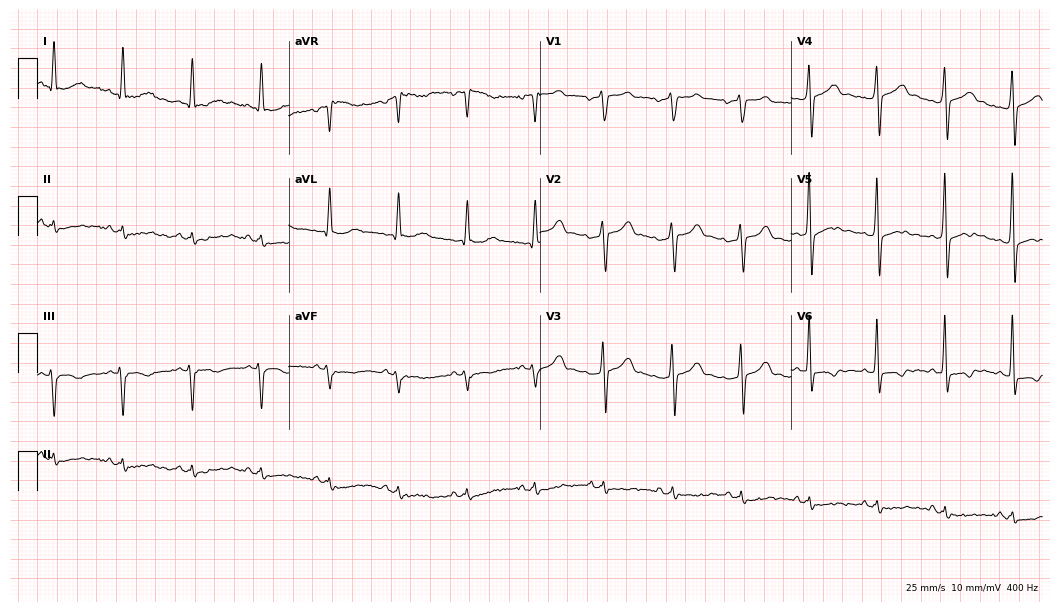
ECG (10.2-second recording at 400 Hz) — a male patient, 57 years old. Screened for six findings — first-degree AV block, right bundle branch block, left bundle branch block, sinus bradycardia, atrial fibrillation, sinus tachycardia — none is recorded.